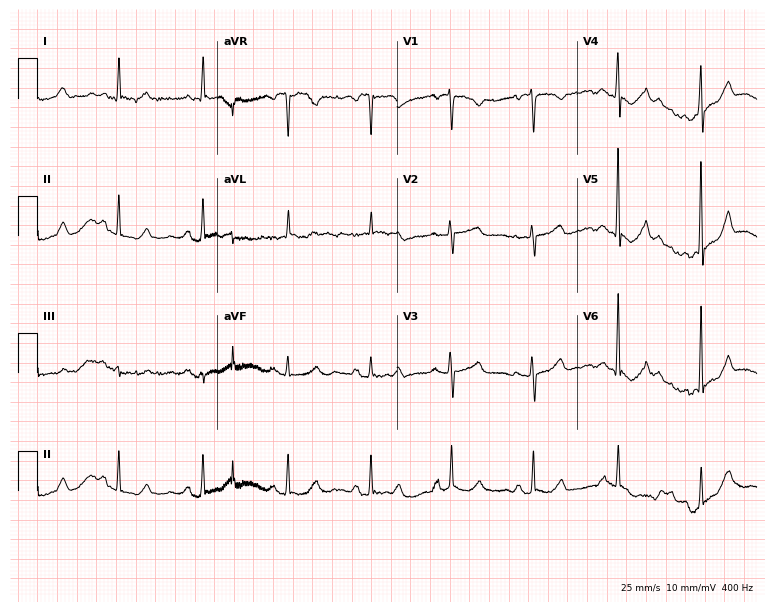
Standard 12-lead ECG recorded from an 81-year-old woman. None of these six findings is recorded: first-degree AV block, right bundle branch block, left bundle branch block, sinus bradycardia, atrial fibrillation, sinus tachycardia. Only these six findings were labelled.